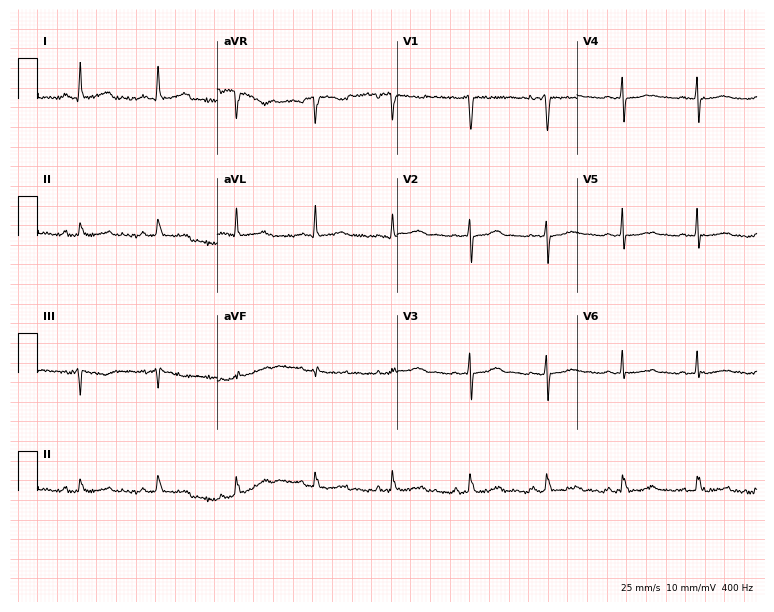
12-lead ECG from a woman, 41 years old (7.3-second recording at 400 Hz). No first-degree AV block, right bundle branch block, left bundle branch block, sinus bradycardia, atrial fibrillation or sinus tachycardia recorded for this tracing.